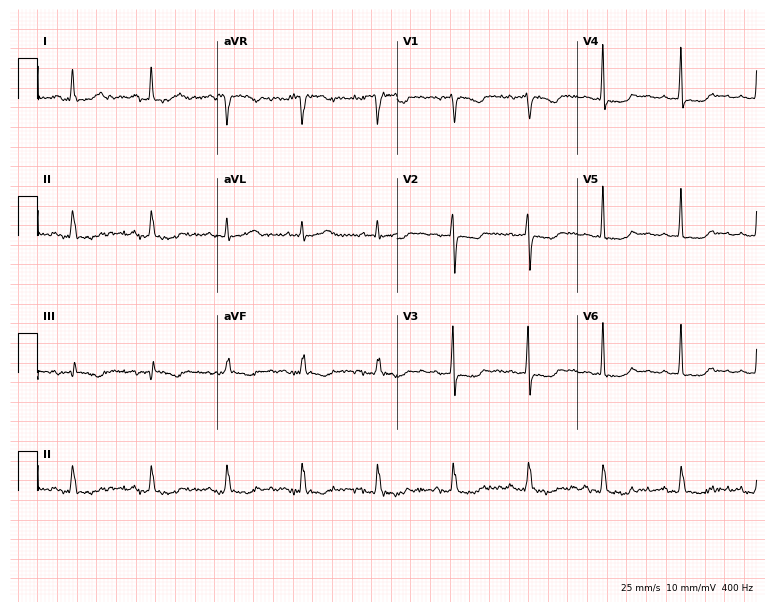
12-lead ECG from a woman, 77 years old. No first-degree AV block, right bundle branch block, left bundle branch block, sinus bradycardia, atrial fibrillation or sinus tachycardia recorded for this tracing. Findings outside these six are not listed.